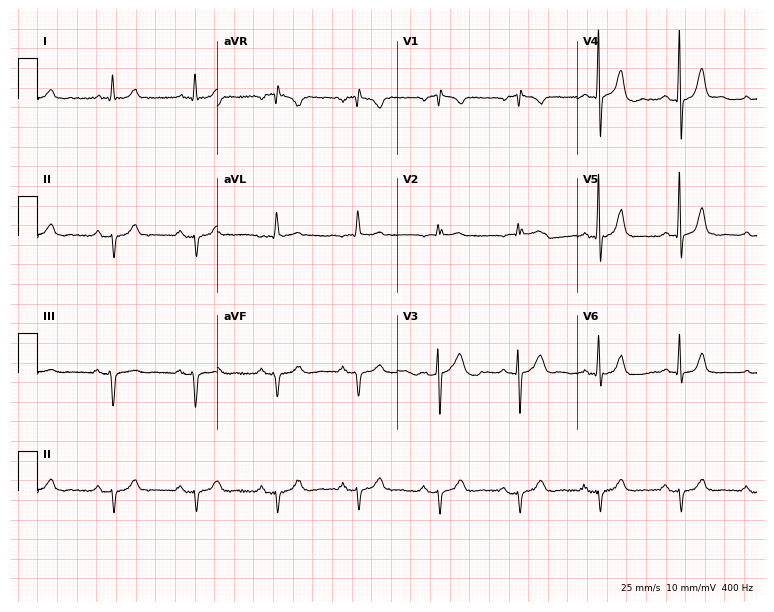
ECG (7.3-second recording at 400 Hz) — a 73-year-old man. Screened for six findings — first-degree AV block, right bundle branch block, left bundle branch block, sinus bradycardia, atrial fibrillation, sinus tachycardia — none is recorded.